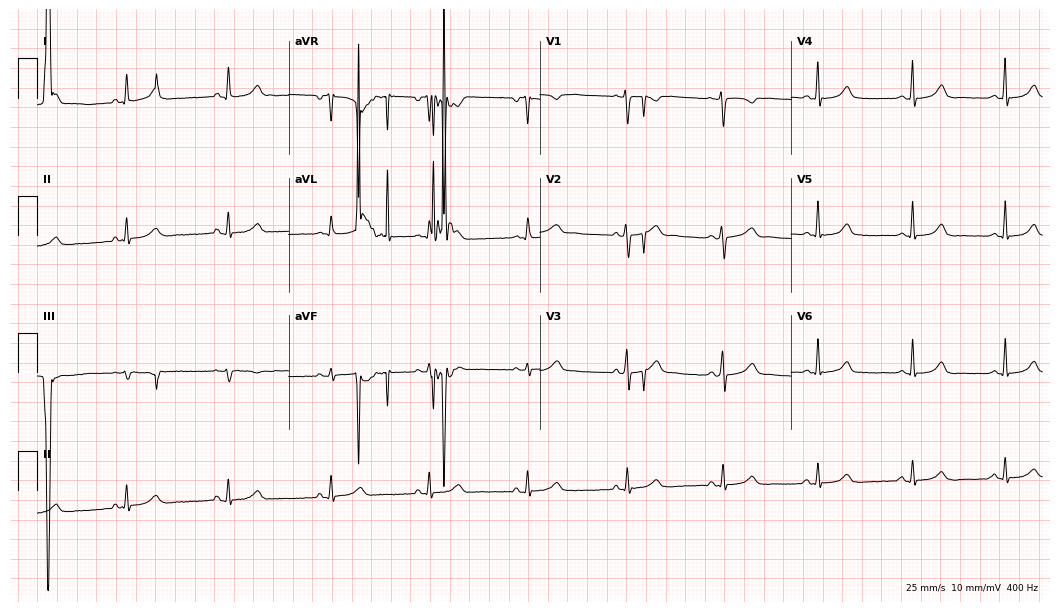
12-lead ECG from a 51-year-old woman. Recorded interpretation: within normal limits.